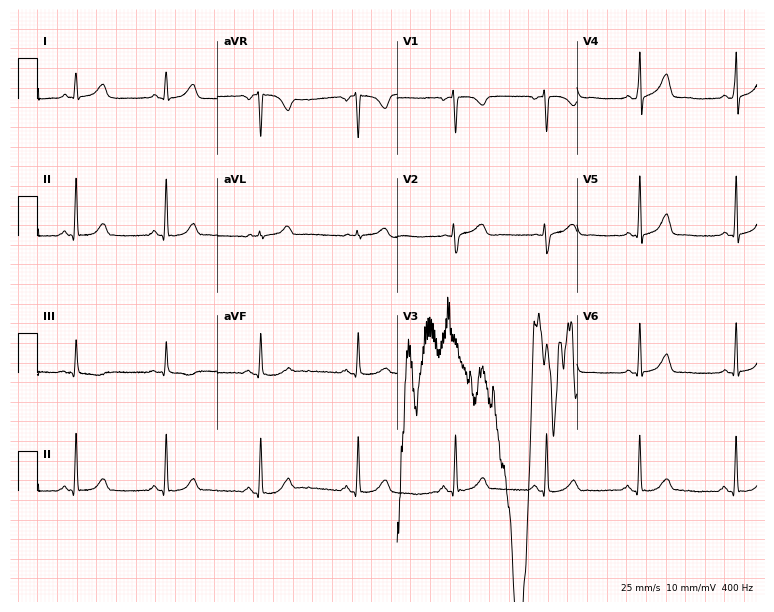
12-lead ECG from a female patient, 31 years old. No first-degree AV block, right bundle branch block, left bundle branch block, sinus bradycardia, atrial fibrillation or sinus tachycardia recorded for this tracing. Other findings, if any, are not listed.